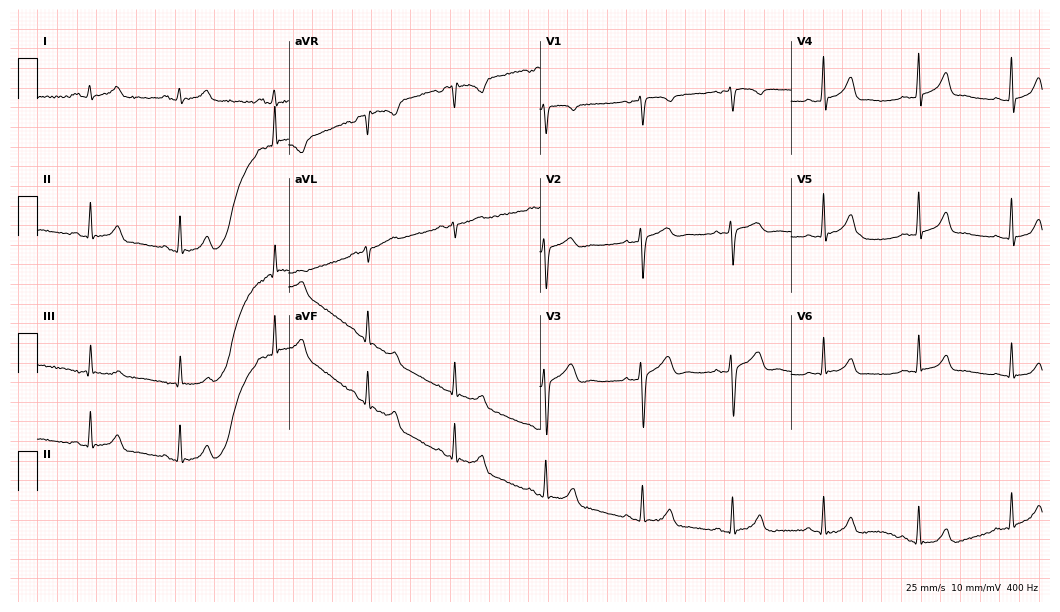
12-lead ECG from a 37-year-old woman (10.2-second recording at 400 Hz). Recorded interpretation: within normal limits.